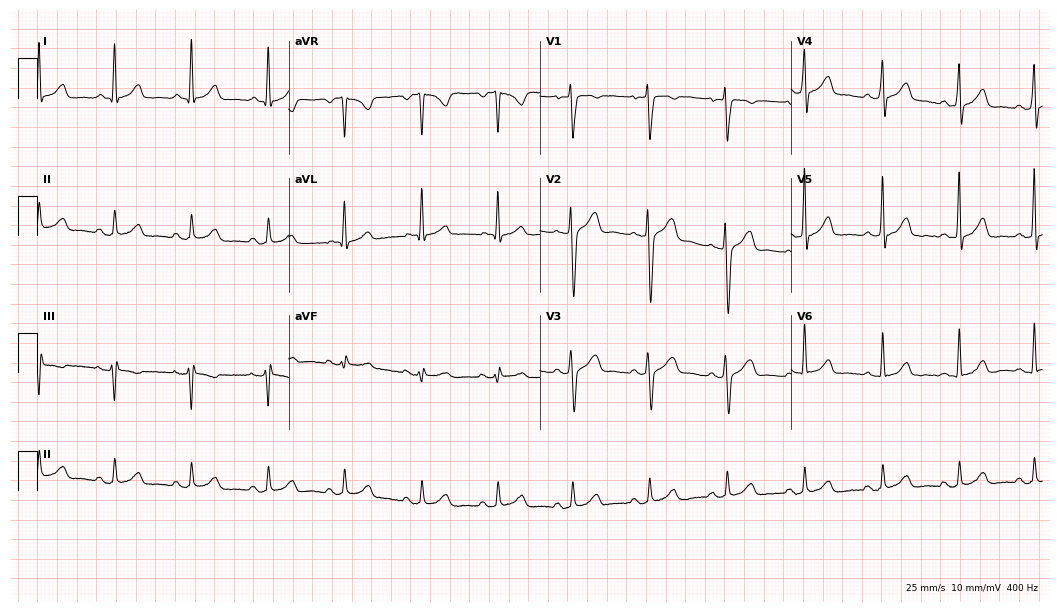
12-lead ECG from a 41-year-old male patient. Labelled as a normal ECG.